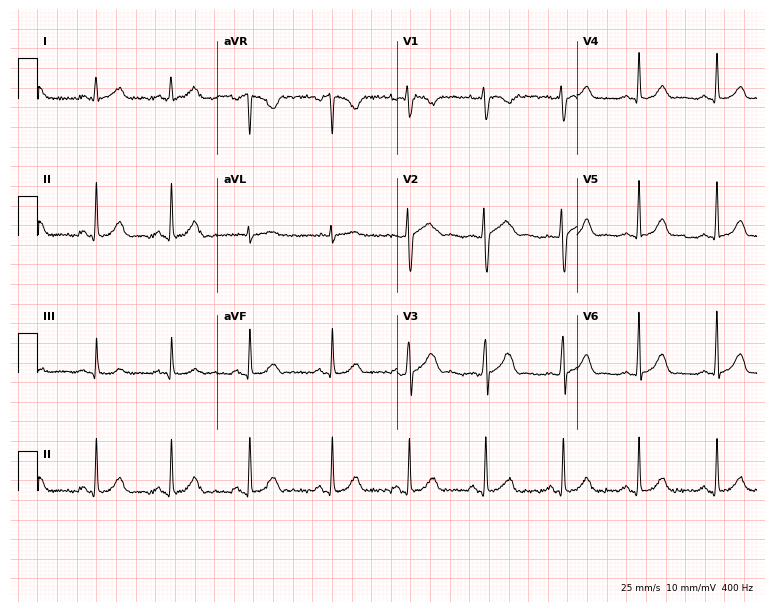
Electrocardiogram, a 24-year-old female patient. Overall reading on record: normal ECG.